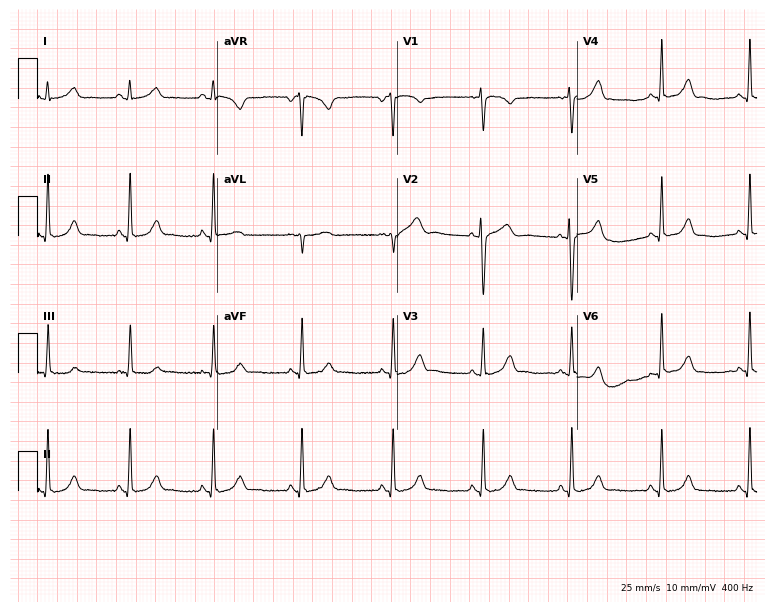
Standard 12-lead ECG recorded from a 20-year-old woman (7.3-second recording at 400 Hz). Read as a normal ECG.